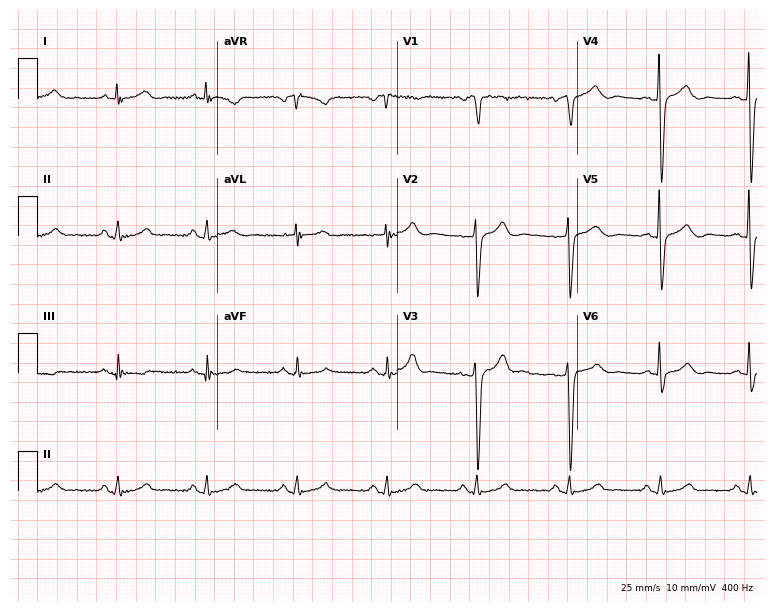
Resting 12-lead electrocardiogram. Patient: a 52-year-old male. Read as a normal ECG.